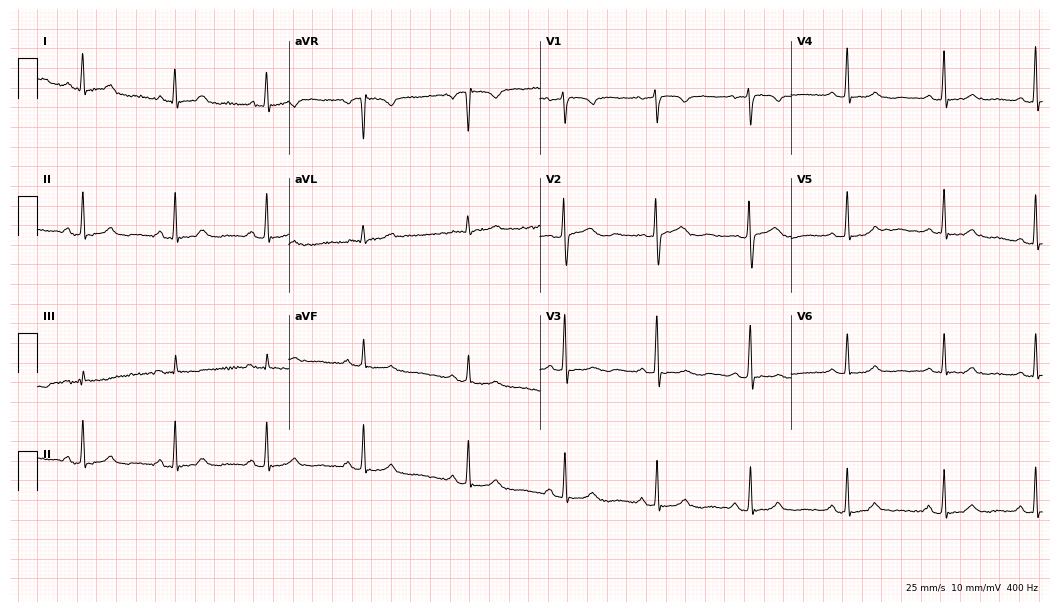
Standard 12-lead ECG recorded from a woman, 56 years old (10.2-second recording at 400 Hz). Read as a normal ECG.